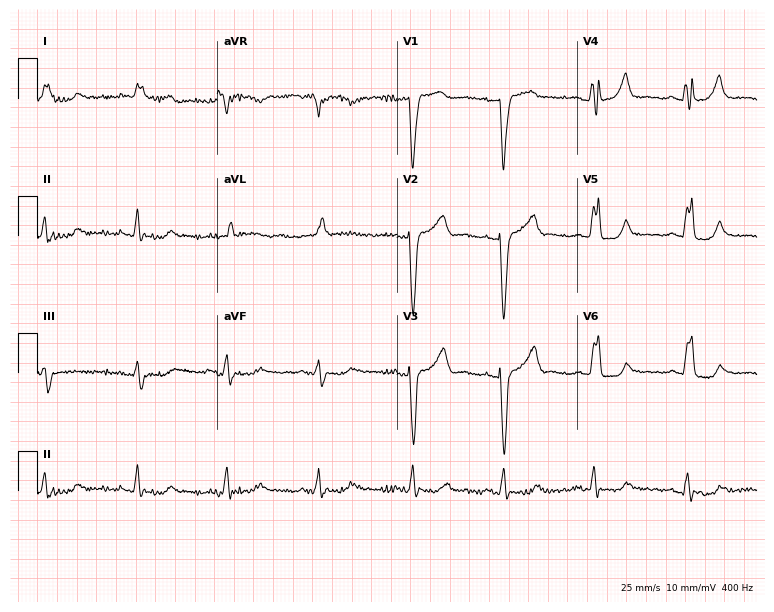
ECG (7.3-second recording at 400 Hz) — a 77-year-old woman. Screened for six findings — first-degree AV block, right bundle branch block, left bundle branch block, sinus bradycardia, atrial fibrillation, sinus tachycardia — none is recorded. Other findings, if any, are not listed.